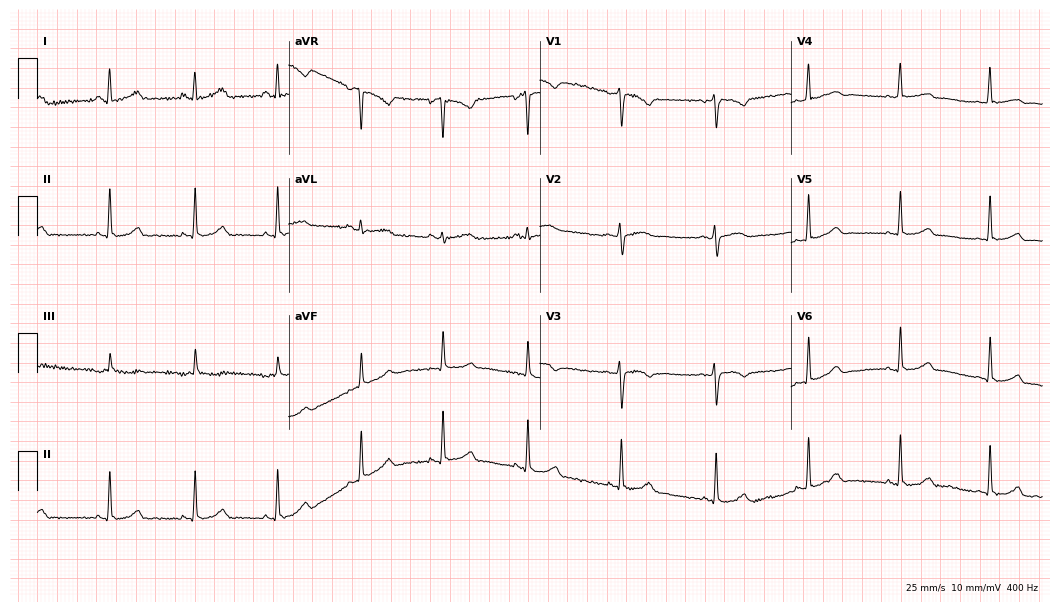
12-lead ECG from a 20-year-old female. Labelled as a normal ECG.